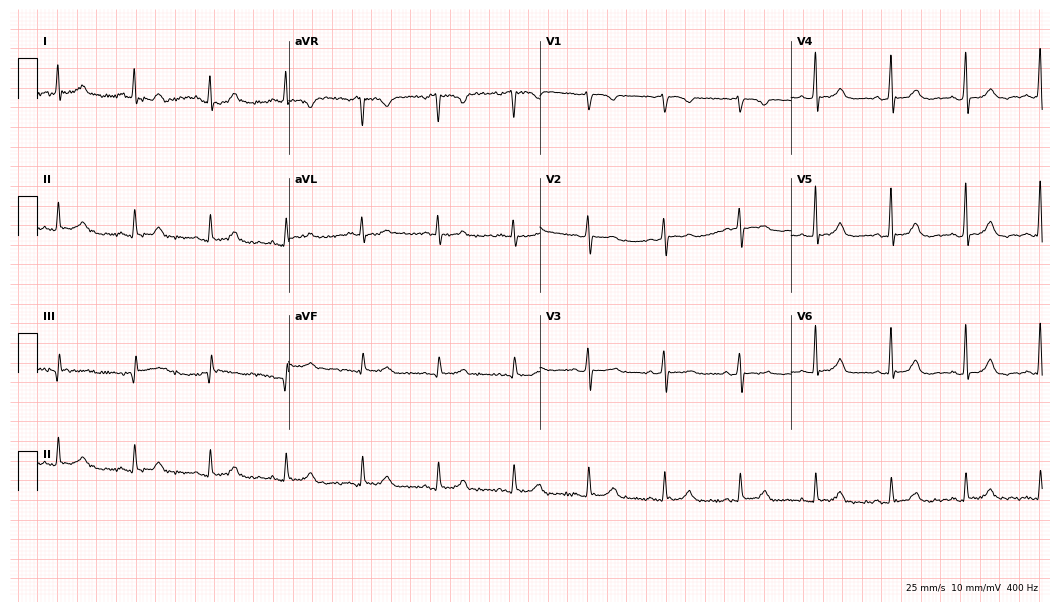
ECG — a female patient, 70 years old. Screened for six findings — first-degree AV block, right bundle branch block, left bundle branch block, sinus bradycardia, atrial fibrillation, sinus tachycardia — none is recorded.